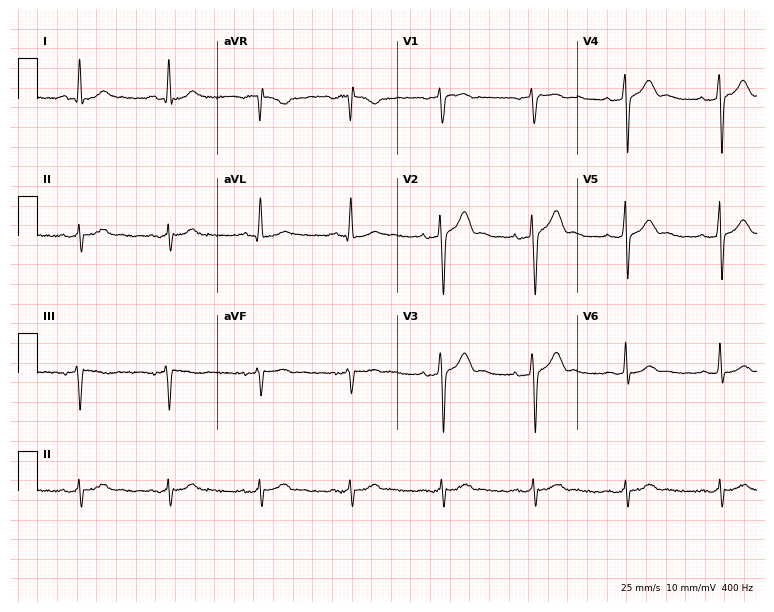
12-lead ECG (7.3-second recording at 400 Hz) from a 53-year-old male. Screened for six findings — first-degree AV block, right bundle branch block (RBBB), left bundle branch block (LBBB), sinus bradycardia, atrial fibrillation (AF), sinus tachycardia — none is recorded.